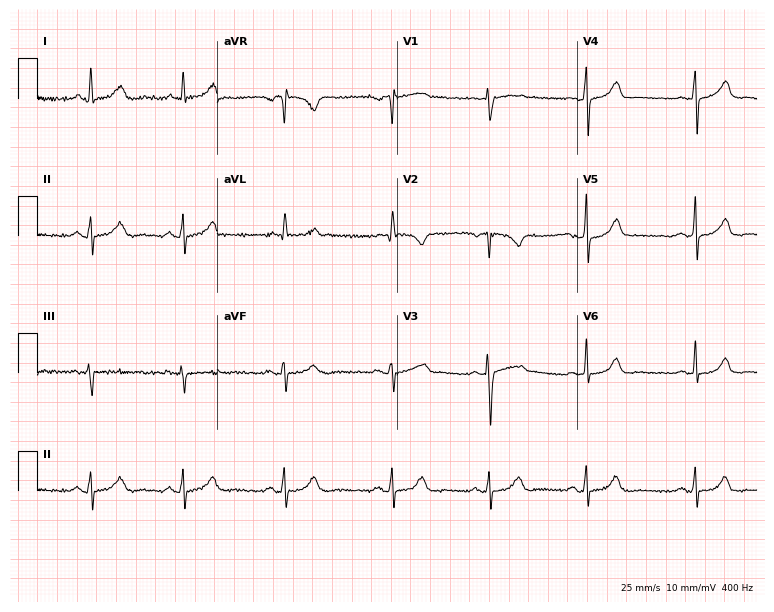
Standard 12-lead ECG recorded from a female patient, 46 years old. Read as a normal ECG.